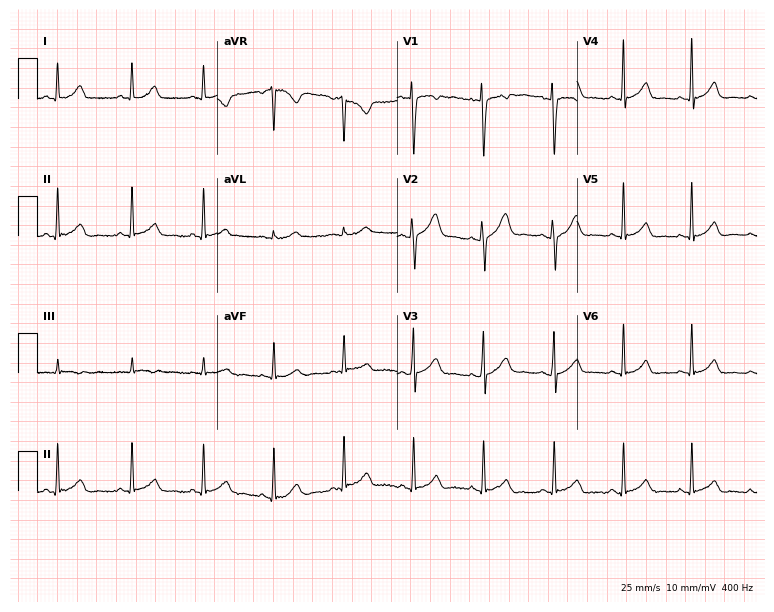
Resting 12-lead electrocardiogram (7.3-second recording at 400 Hz). Patient: a 33-year-old female. Read as a normal ECG.